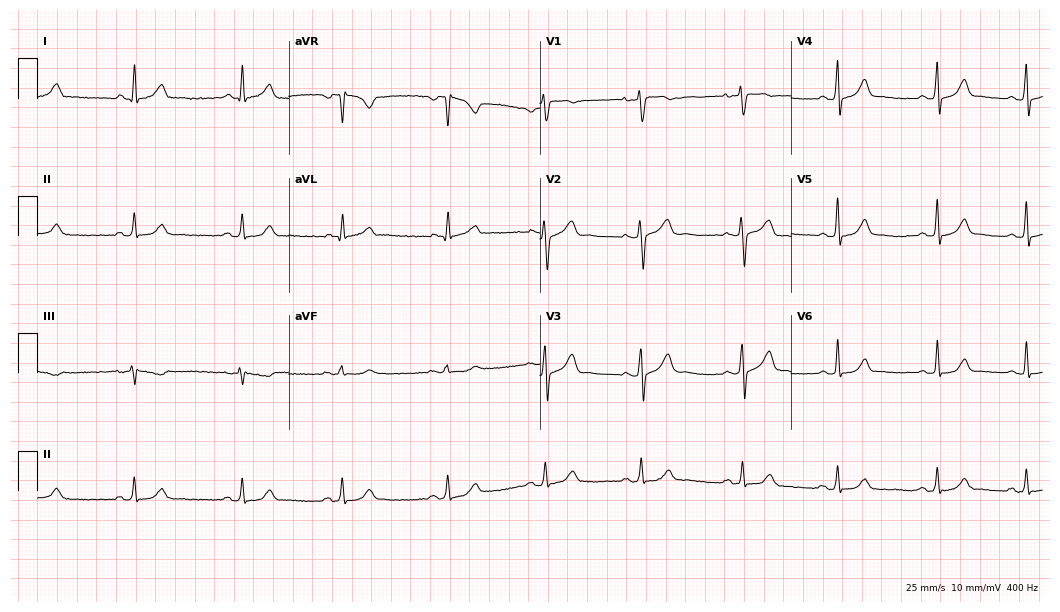
ECG — a 29-year-old female. Screened for six findings — first-degree AV block, right bundle branch block, left bundle branch block, sinus bradycardia, atrial fibrillation, sinus tachycardia — none is recorded.